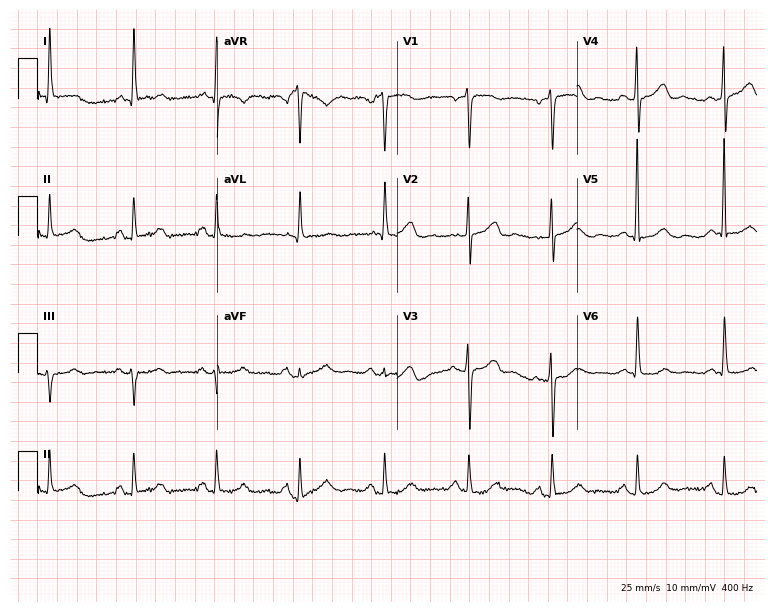
Resting 12-lead electrocardiogram. Patient: a woman, 71 years old. None of these six findings is recorded: first-degree AV block, right bundle branch block, left bundle branch block, sinus bradycardia, atrial fibrillation, sinus tachycardia. Findings outside these six are not listed.